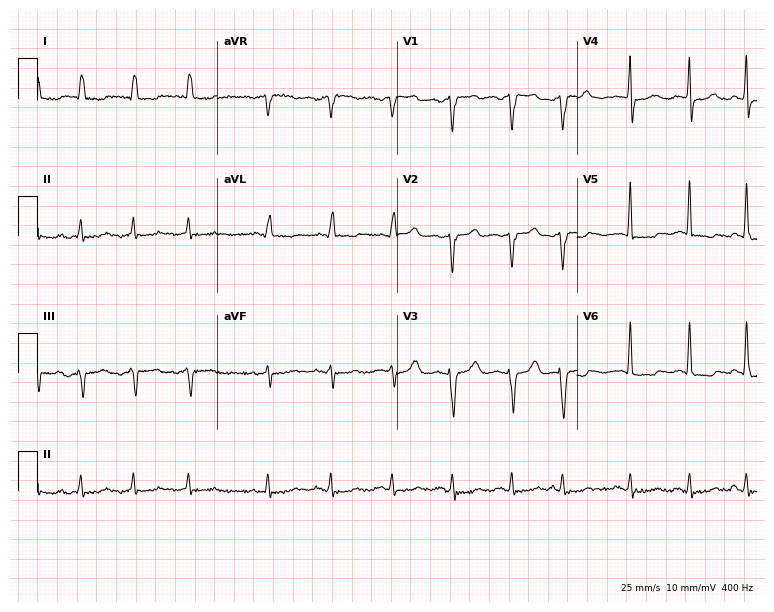
Electrocardiogram (7.3-second recording at 400 Hz), a 68-year-old female. Of the six screened findings (first-degree AV block, right bundle branch block (RBBB), left bundle branch block (LBBB), sinus bradycardia, atrial fibrillation (AF), sinus tachycardia), none is recorded.